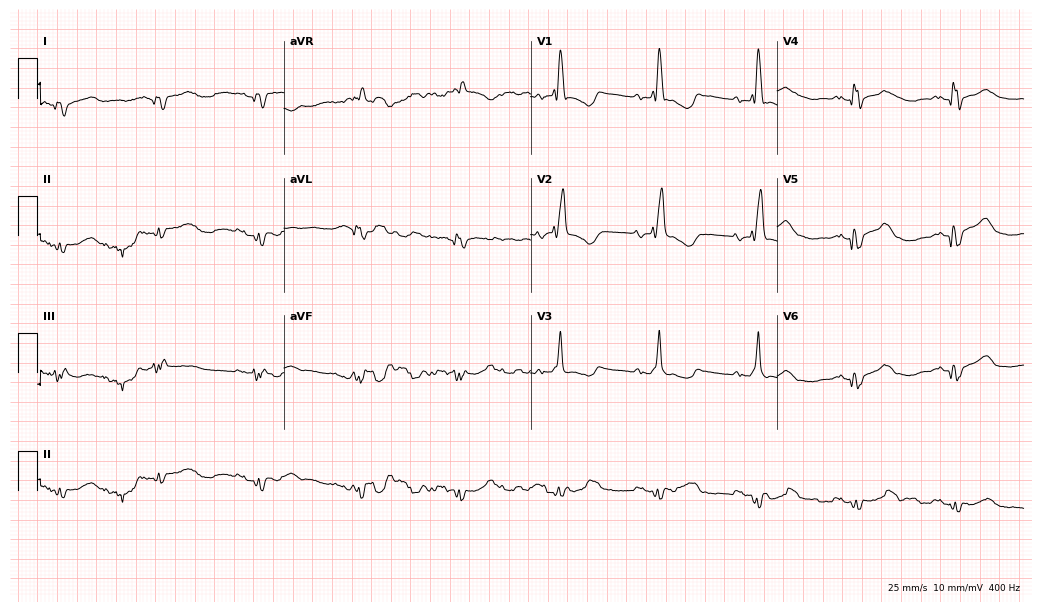
12-lead ECG from a 63-year-old man (10.1-second recording at 400 Hz). No first-degree AV block, right bundle branch block, left bundle branch block, sinus bradycardia, atrial fibrillation or sinus tachycardia recorded for this tracing.